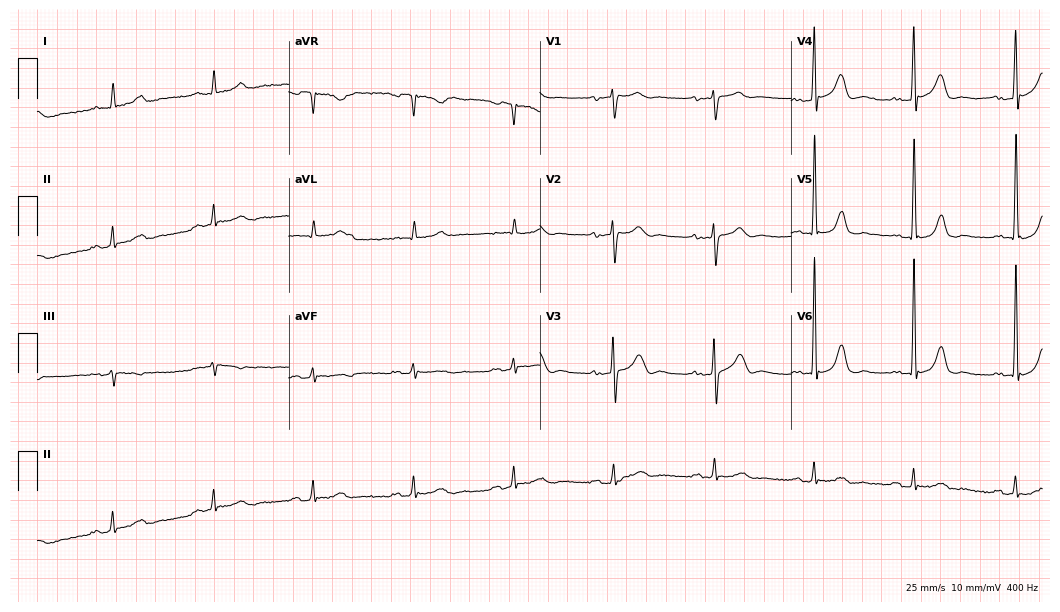
Electrocardiogram, a male, 72 years old. Overall reading on record: normal ECG.